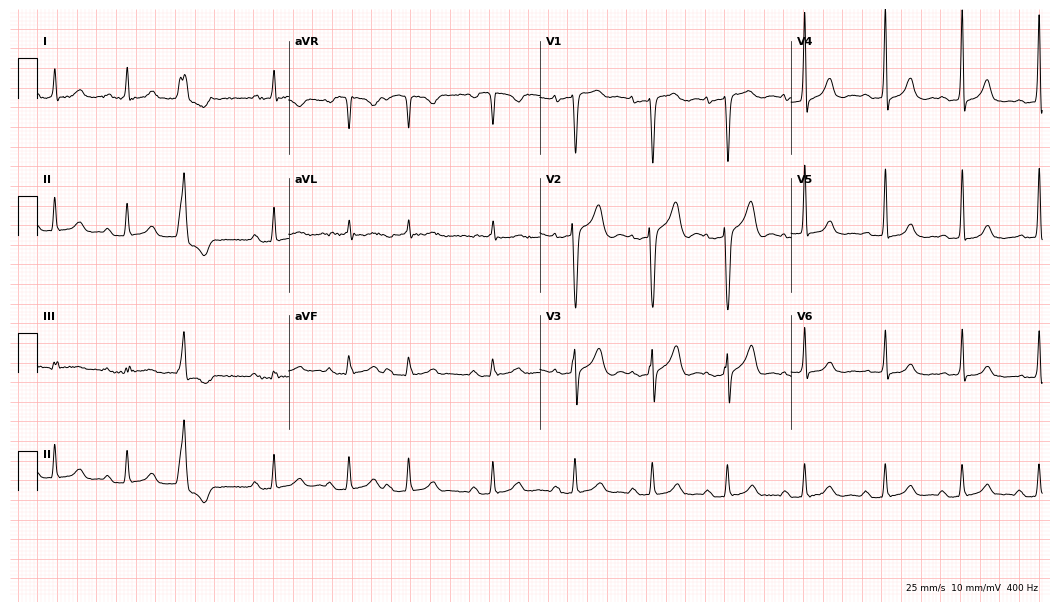
Standard 12-lead ECG recorded from a male patient, 85 years old (10.2-second recording at 400 Hz). None of these six findings is recorded: first-degree AV block, right bundle branch block, left bundle branch block, sinus bradycardia, atrial fibrillation, sinus tachycardia.